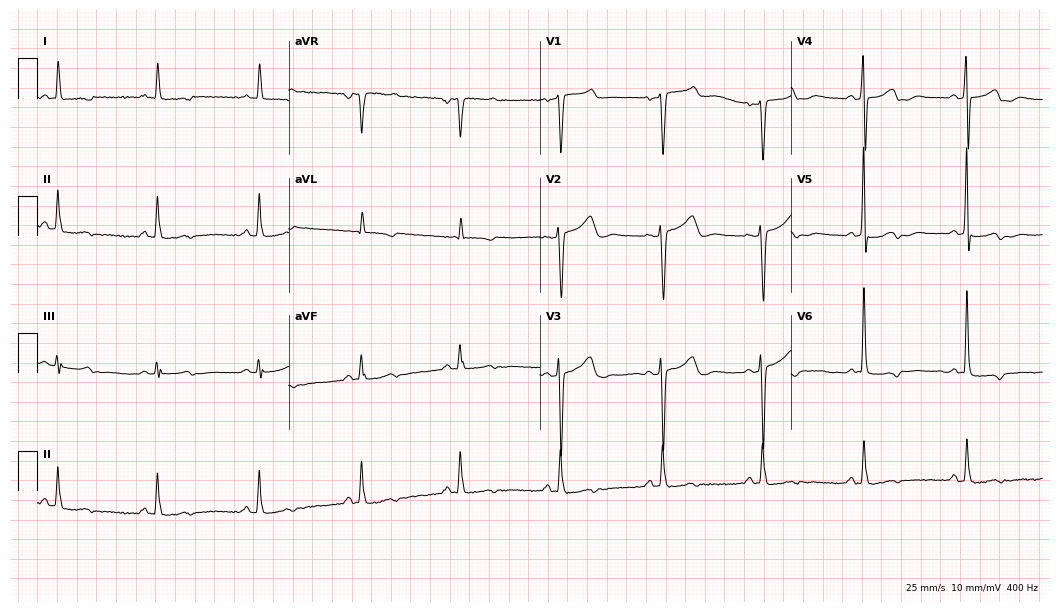
Standard 12-lead ECG recorded from a female patient, 59 years old (10.2-second recording at 400 Hz). None of these six findings is recorded: first-degree AV block, right bundle branch block (RBBB), left bundle branch block (LBBB), sinus bradycardia, atrial fibrillation (AF), sinus tachycardia. Only these six findings were labelled.